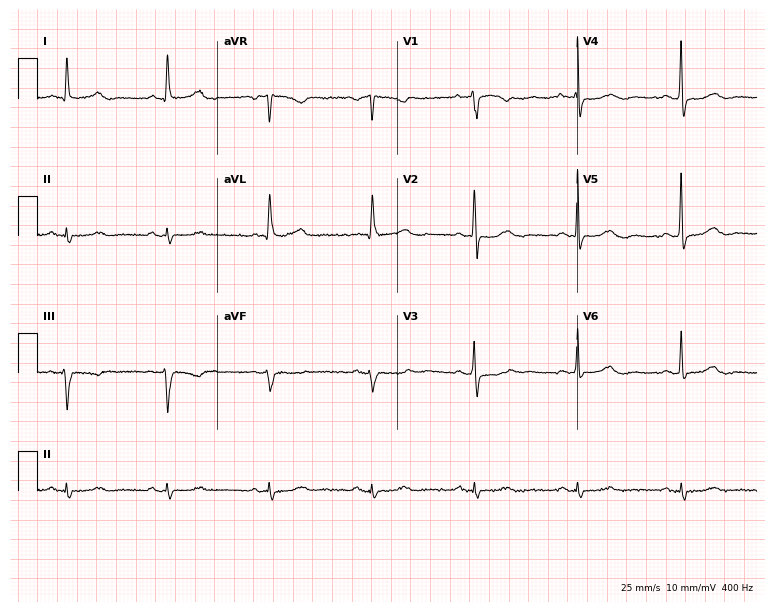
Electrocardiogram (7.3-second recording at 400 Hz), a female patient, 81 years old. Overall reading on record: normal ECG.